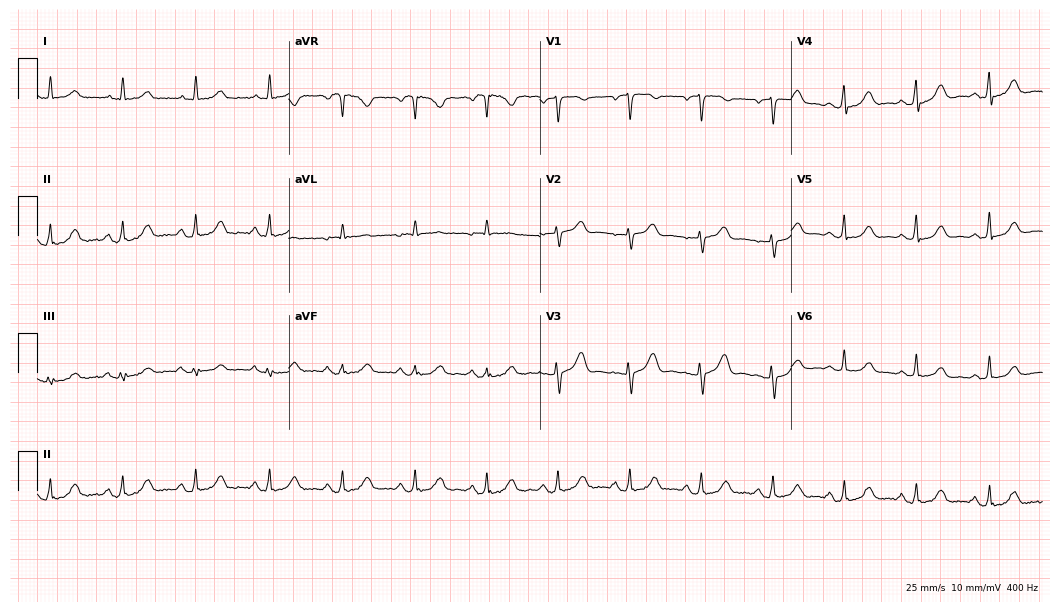
Resting 12-lead electrocardiogram. Patient: a woman, 61 years old. Read as a normal ECG.